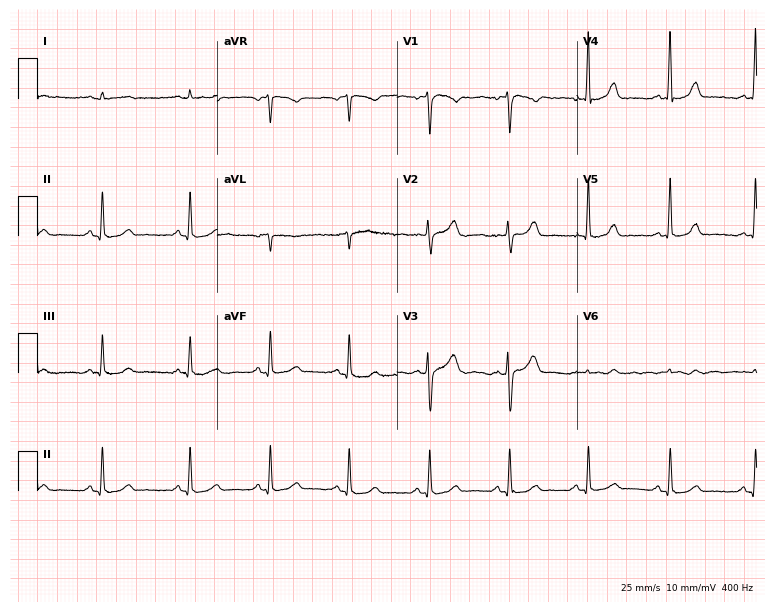
Standard 12-lead ECG recorded from a female, 26 years old (7.3-second recording at 400 Hz). Read as a normal ECG.